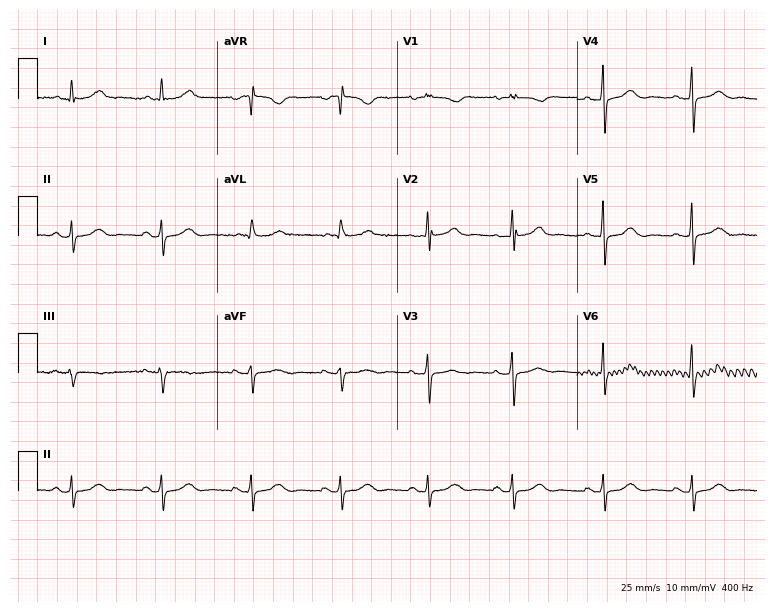
Resting 12-lead electrocardiogram (7.3-second recording at 400 Hz). Patient: a 75-year-old woman. Read as a normal ECG.